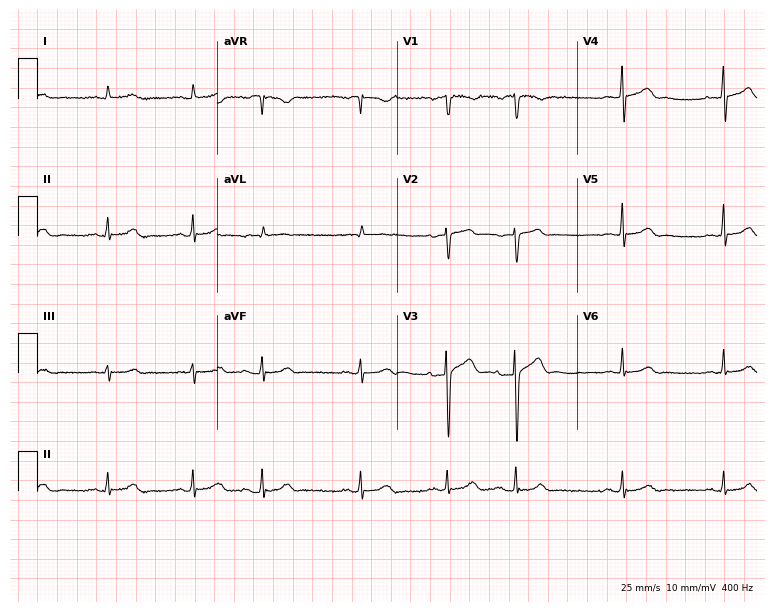
12-lead ECG from an 80-year-old male patient (7.3-second recording at 400 Hz). Recorded interpretation: within normal limits.